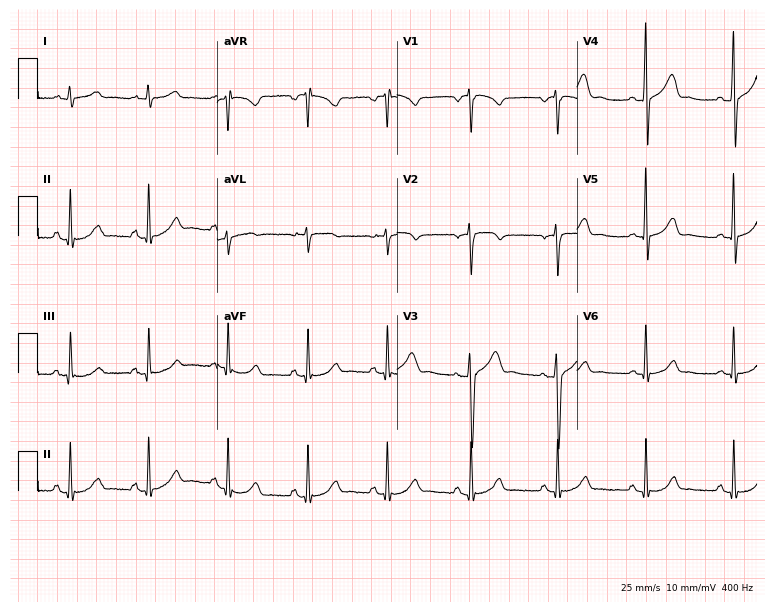
ECG — a 50-year-old man. Labelled as a normal ECG.